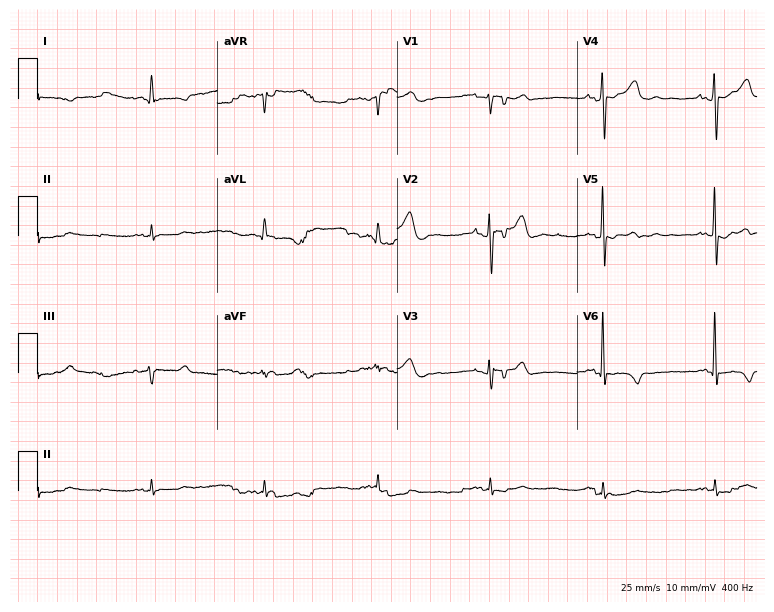
ECG — an 84-year-old male patient. Screened for six findings — first-degree AV block, right bundle branch block, left bundle branch block, sinus bradycardia, atrial fibrillation, sinus tachycardia — none is recorded. Other findings, if any, are not listed.